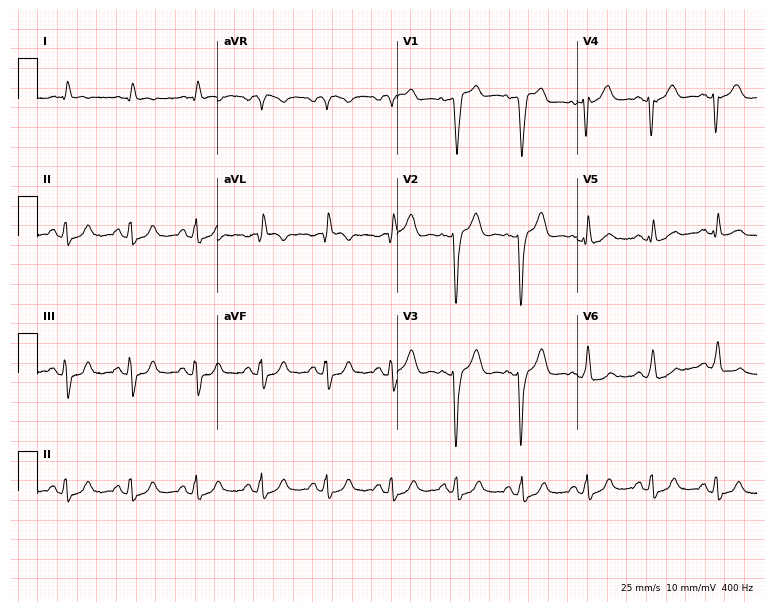
Electrocardiogram, an 83-year-old male. Of the six screened findings (first-degree AV block, right bundle branch block, left bundle branch block, sinus bradycardia, atrial fibrillation, sinus tachycardia), none is recorded. Only these six findings were labelled.